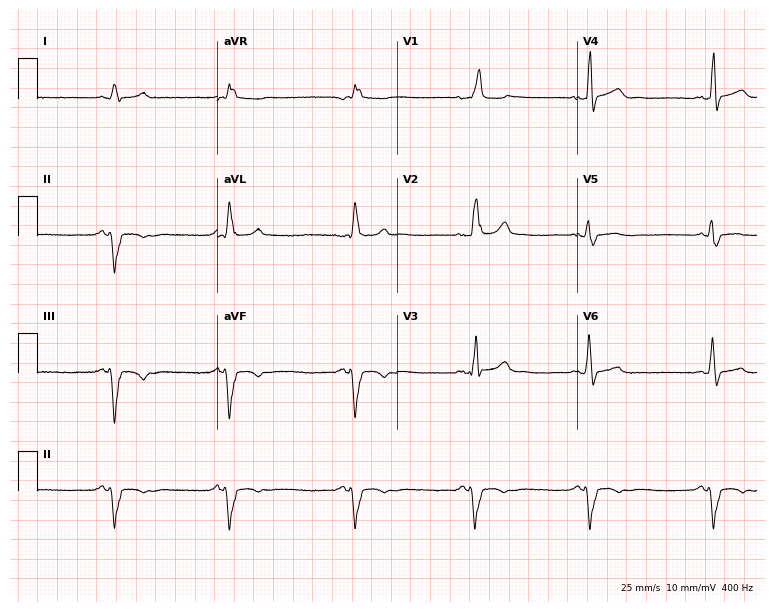
Resting 12-lead electrocardiogram (7.3-second recording at 400 Hz). Patient: a 71-year-old man. The tracing shows right bundle branch block, sinus bradycardia (a sinus rate of 50 beats per minute or less).